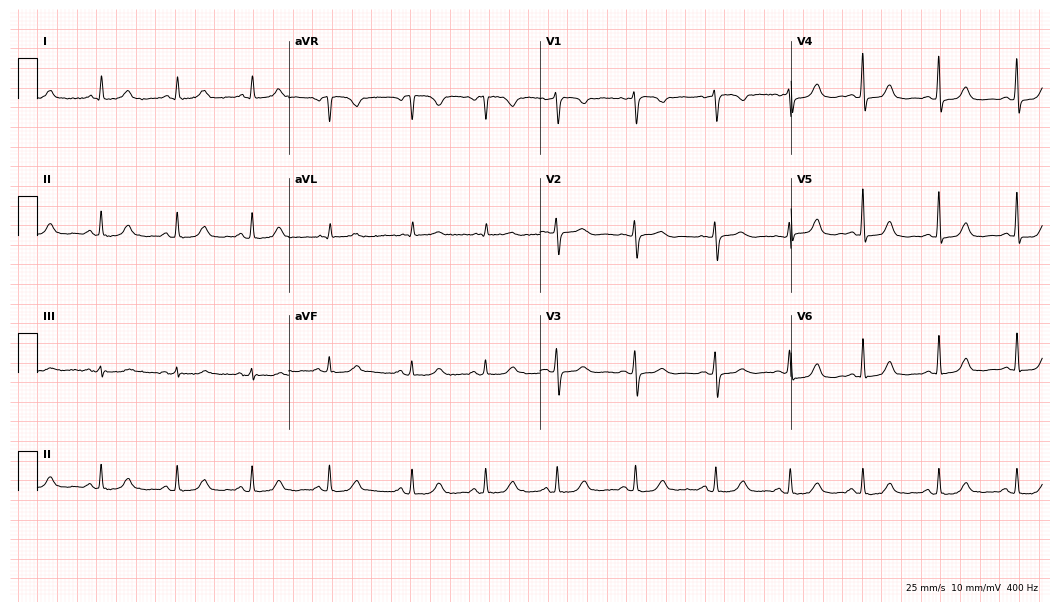
Standard 12-lead ECG recorded from a female, 68 years old (10.2-second recording at 400 Hz). Read as a normal ECG.